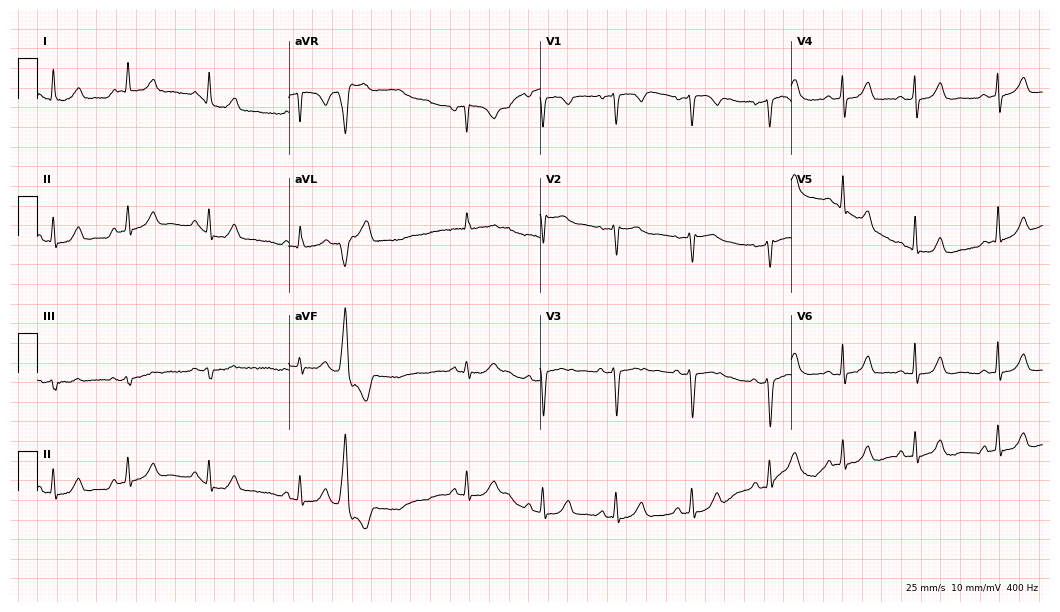
Electrocardiogram (10.2-second recording at 400 Hz), a 48-year-old female. Of the six screened findings (first-degree AV block, right bundle branch block (RBBB), left bundle branch block (LBBB), sinus bradycardia, atrial fibrillation (AF), sinus tachycardia), none is recorded.